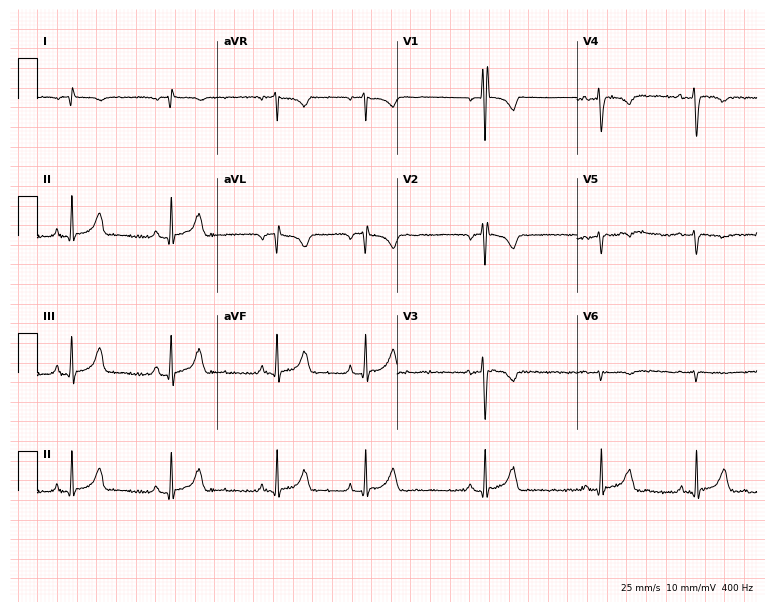
Standard 12-lead ECG recorded from a male, 21 years old (7.3-second recording at 400 Hz). None of these six findings is recorded: first-degree AV block, right bundle branch block, left bundle branch block, sinus bradycardia, atrial fibrillation, sinus tachycardia. Other findings, if any, are not listed.